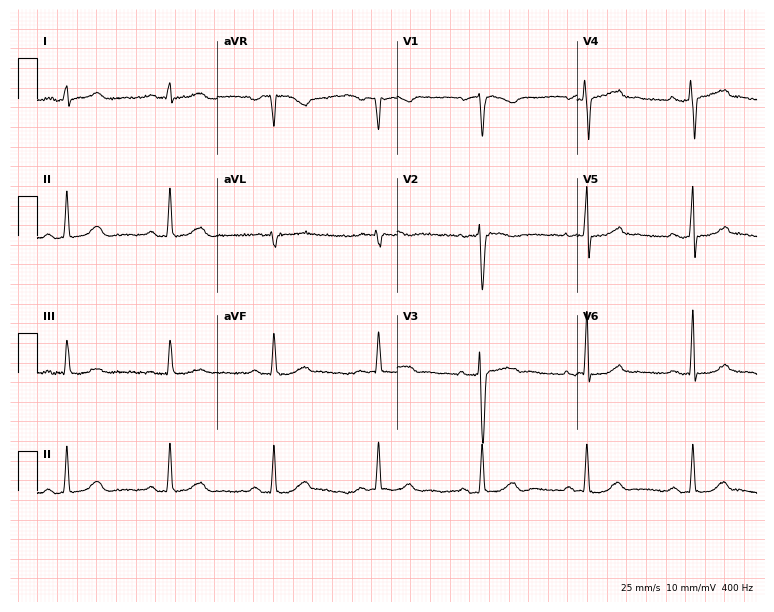
Electrocardiogram (7.3-second recording at 400 Hz), a woman, 41 years old. Overall reading on record: normal ECG.